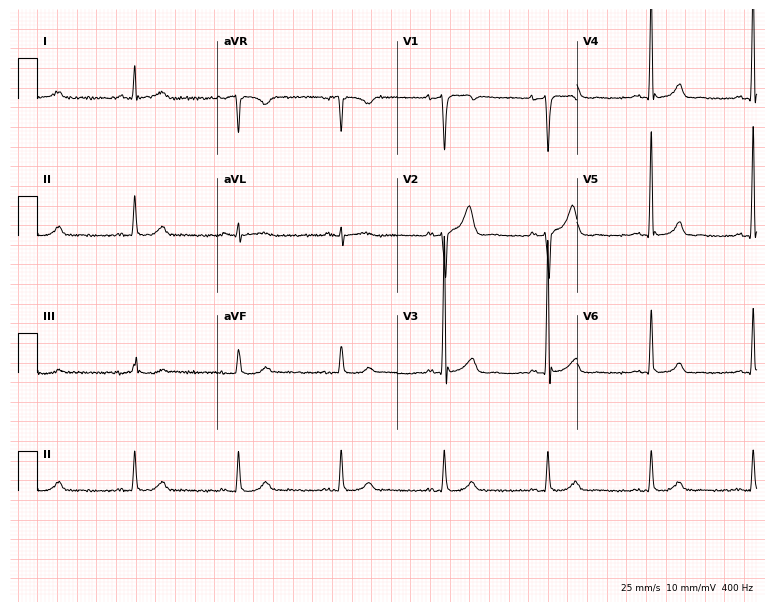
Resting 12-lead electrocardiogram. Patient: a male, 54 years old. None of these six findings is recorded: first-degree AV block, right bundle branch block, left bundle branch block, sinus bradycardia, atrial fibrillation, sinus tachycardia. Other findings, if any, are not listed.